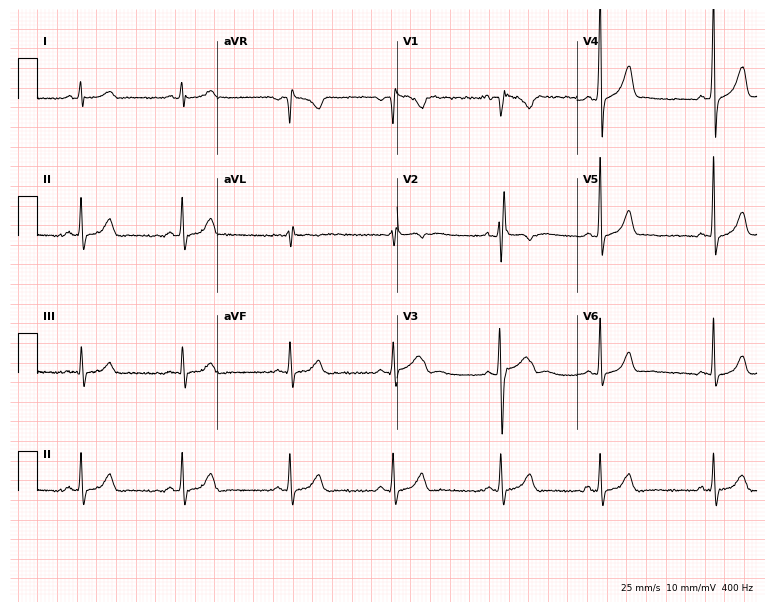
12-lead ECG (7.3-second recording at 400 Hz) from a 17-year-old man. Screened for six findings — first-degree AV block, right bundle branch block (RBBB), left bundle branch block (LBBB), sinus bradycardia, atrial fibrillation (AF), sinus tachycardia — none is recorded. Only these six findings were labelled.